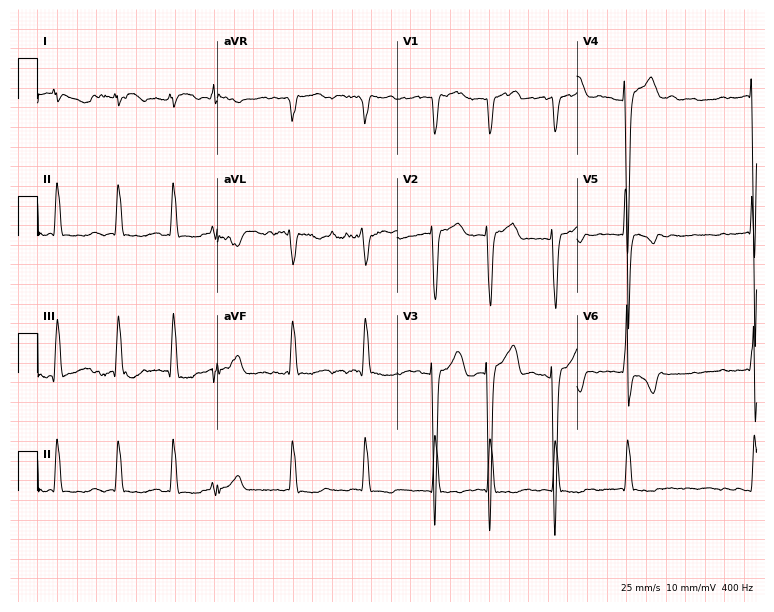
12-lead ECG (7.3-second recording at 400 Hz) from a 64-year-old male. Findings include atrial fibrillation.